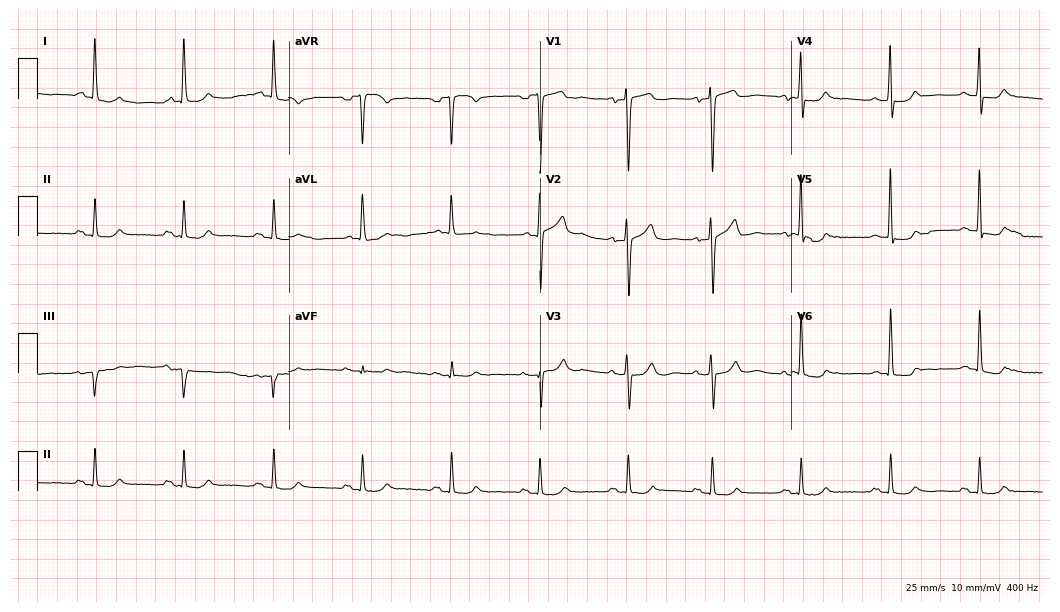
12-lead ECG from a 76-year-old female patient. No first-degree AV block, right bundle branch block (RBBB), left bundle branch block (LBBB), sinus bradycardia, atrial fibrillation (AF) or sinus tachycardia recorded for this tracing.